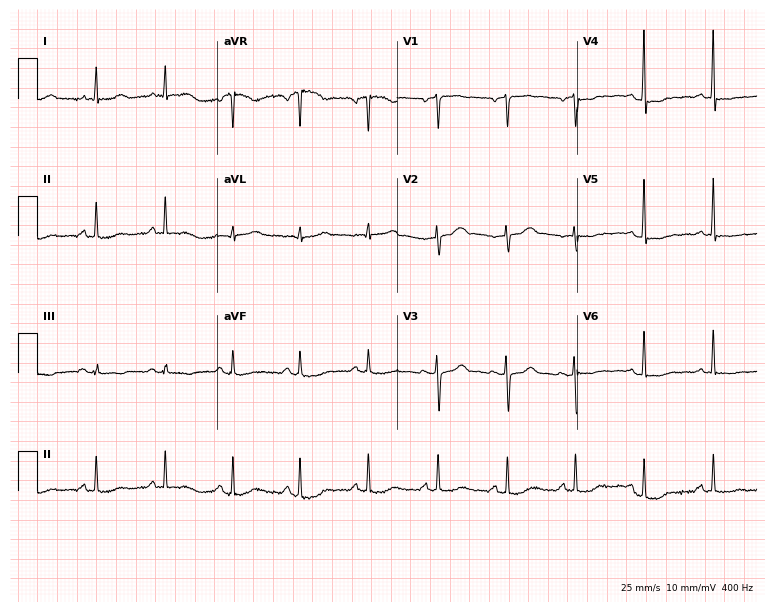
12-lead ECG from a woman, 54 years old. No first-degree AV block, right bundle branch block (RBBB), left bundle branch block (LBBB), sinus bradycardia, atrial fibrillation (AF) or sinus tachycardia recorded for this tracing. Only these six findings were labelled.